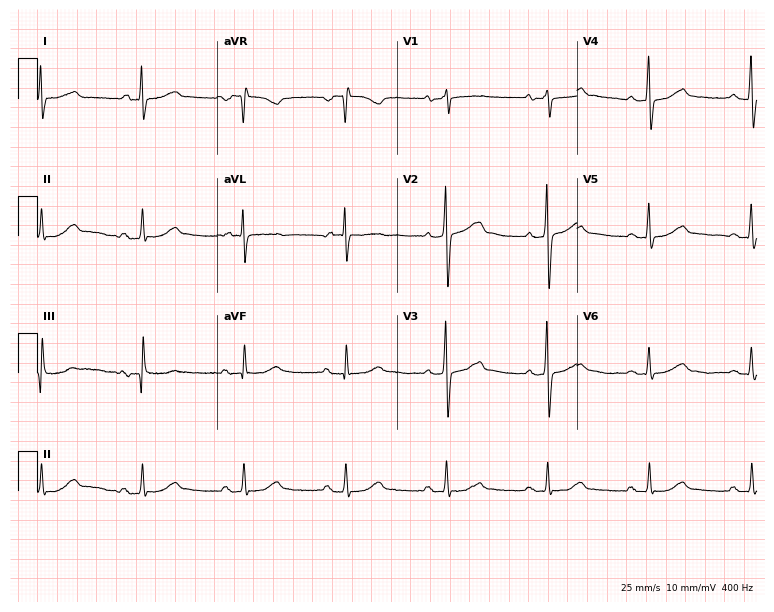
Electrocardiogram (7.3-second recording at 400 Hz), a 64-year-old male. Of the six screened findings (first-degree AV block, right bundle branch block (RBBB), left bundle branch block (LBBB), sinus bradycardia, atrial fibrillation (AF), sinus tachycardia), none is recorded.